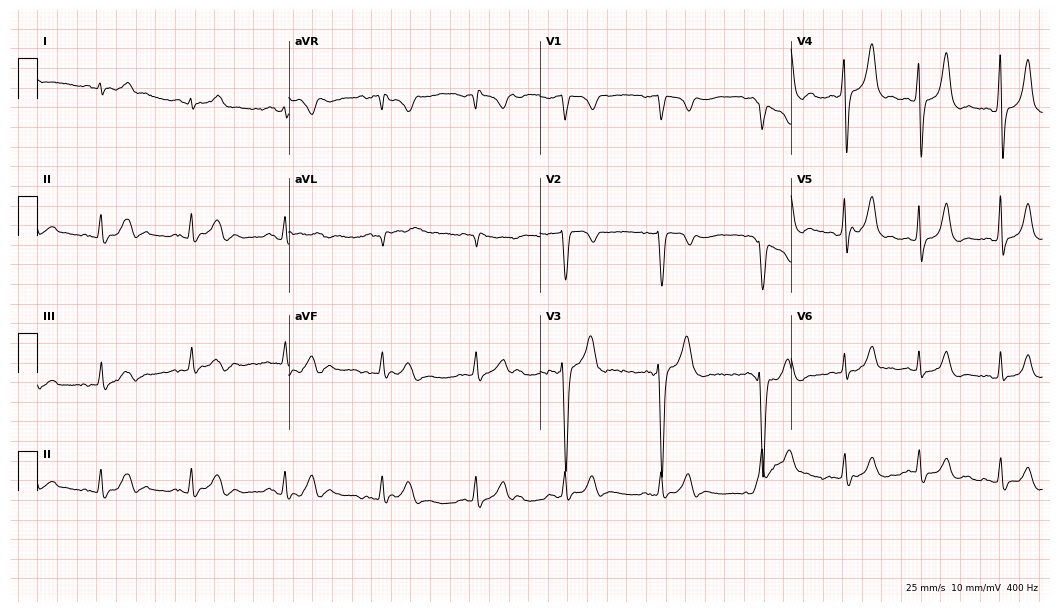
12-lead ECG from a 26-year-old male (10.2-second recording at 400 Hz). No first-degree AV block, right bundle branch block (RBBB), left bundle branch block (LBBB), sinus bradycardia, atrial fibrillation (AF) or sinus tachycardia recorded for this tracing.